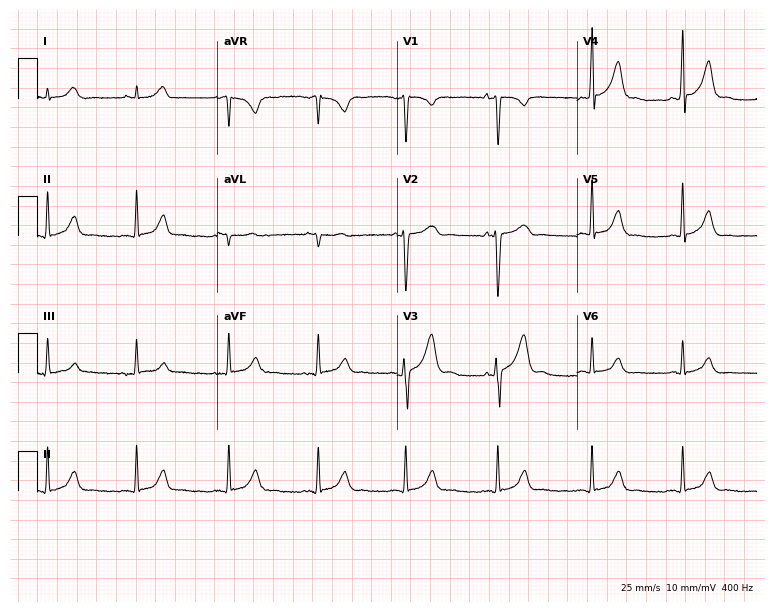
ECG (7.3-second recording at 400 Hz) — a 35-year-old male. Labelled as a normal ECG.